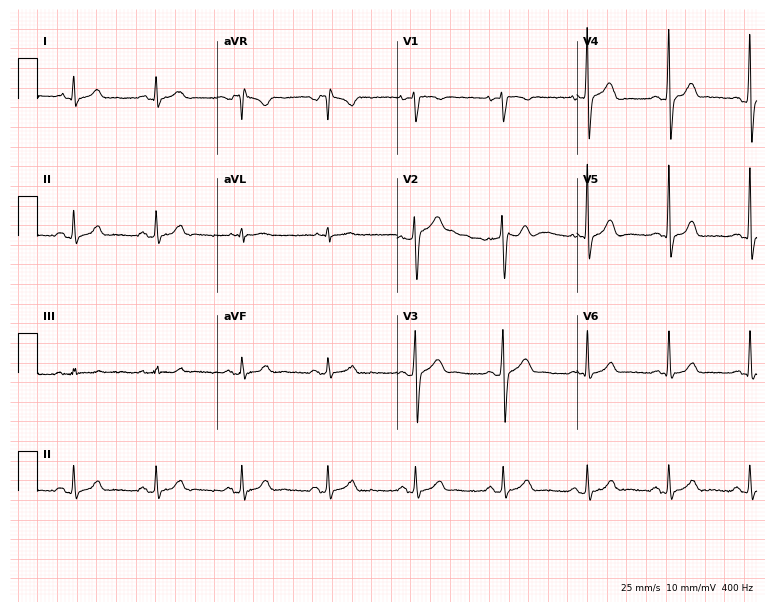
Electrocardiogram (7.3-second recording at 400 Hz), a 28-year-old male. Overall reading on record: normal ECG.